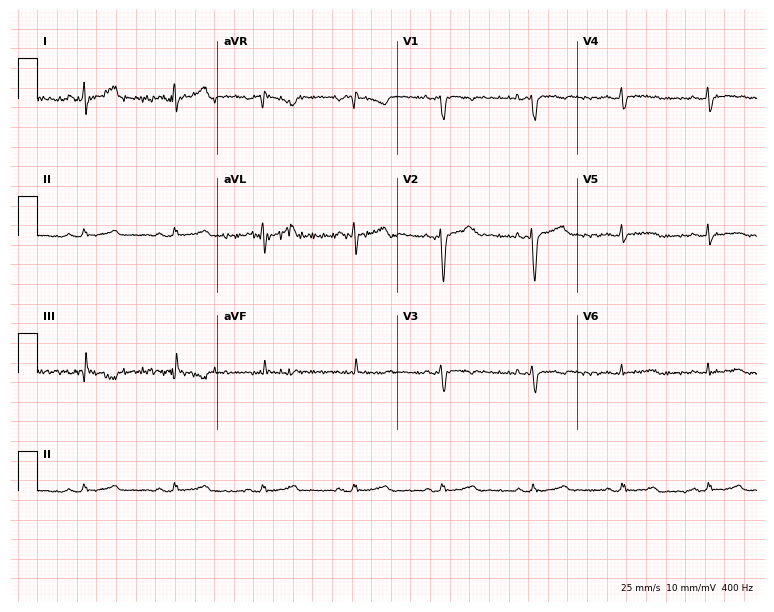
Standard 12-lead ECG recorded from a female patient, 27 years old (7.3-second recording at 400 Hz). None of these six findings is recorded: first-degree AV block, right bundle branch block (RBBB), left bundle branch block (LBBB), sinus bradycardia, atrial fibrillation (AF), sinus tachycardia.